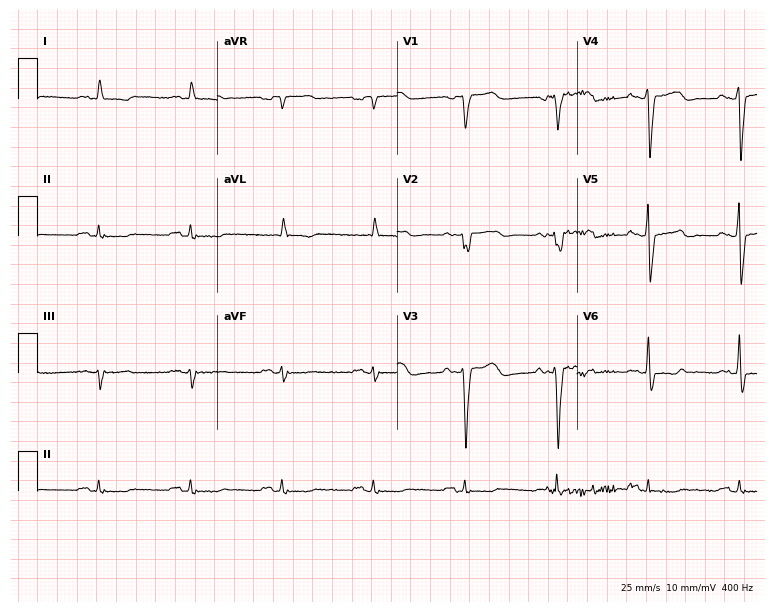
Standard 12-lead ECG recorded from a 71-year-old man. None of these six findings is recorded: first-degree AV block, right bundle branch block (RBBB), left bundle branch block (LBBB), sinus bradycardia, atrial fibrillation (AF), sinus tachycardia. Findings outside these six are not listed.